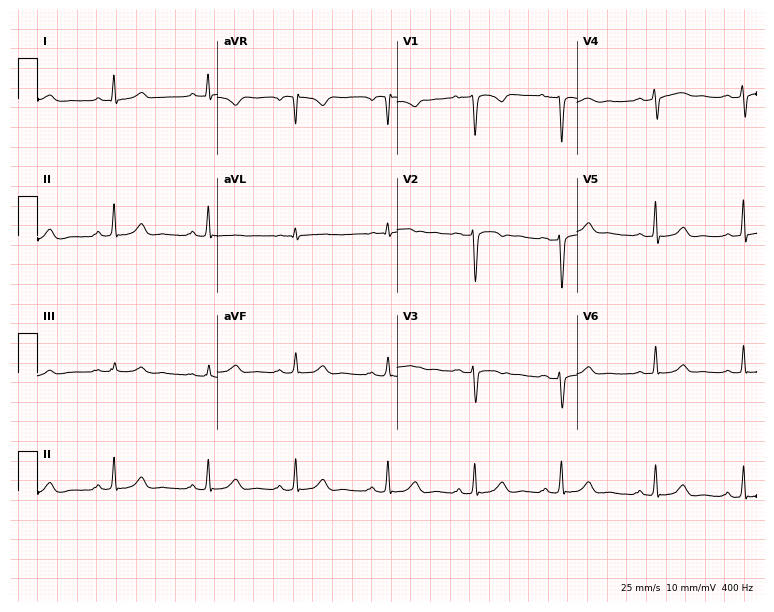
ECG — a woman, 27 years old. Screened for six findings — first-degree AV block, right bundle branch block, left bundle branch block, sinus bradycardia, atrial fibrillation, sinus tachycardia — none is recorded. Other findings, if any, are not listed.